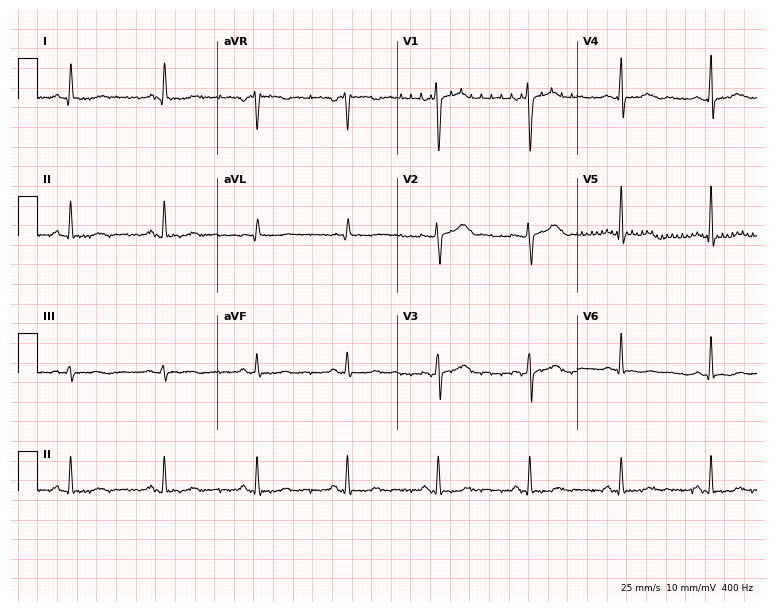
Electrocardiogram (7.3-second recording at 400 Hz), a 54-year-old woman. Of the six screened findings (first-degree AV block, right bundle branch block, left bundle branch block, sinus bradycardia, atrial fibrillation, sinus tachycardia), none is recorded.